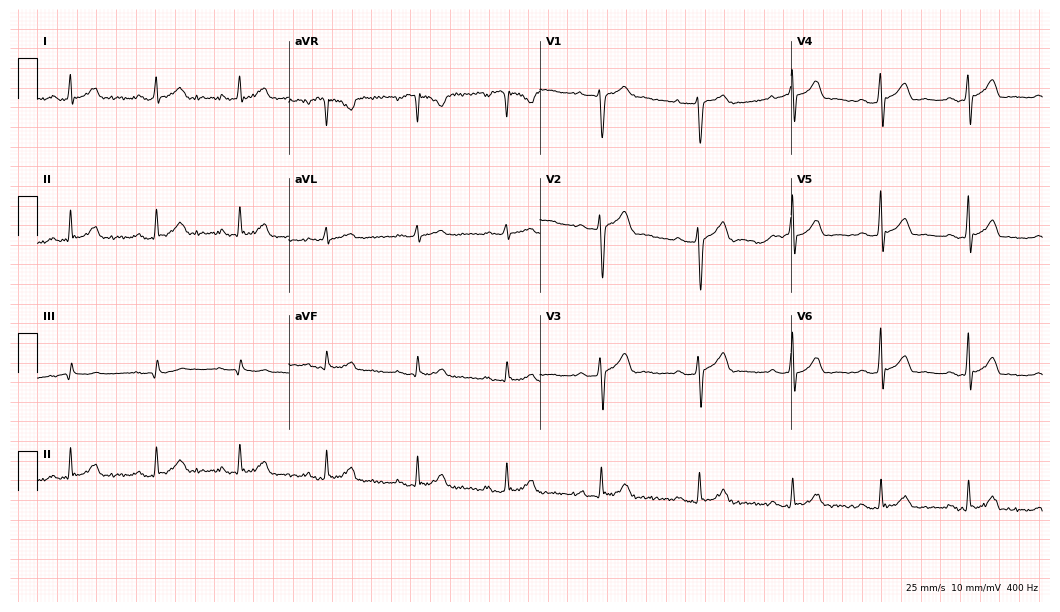
12-lead ECG from a 30-year-old male. Recorded interpretation: within normal limits.